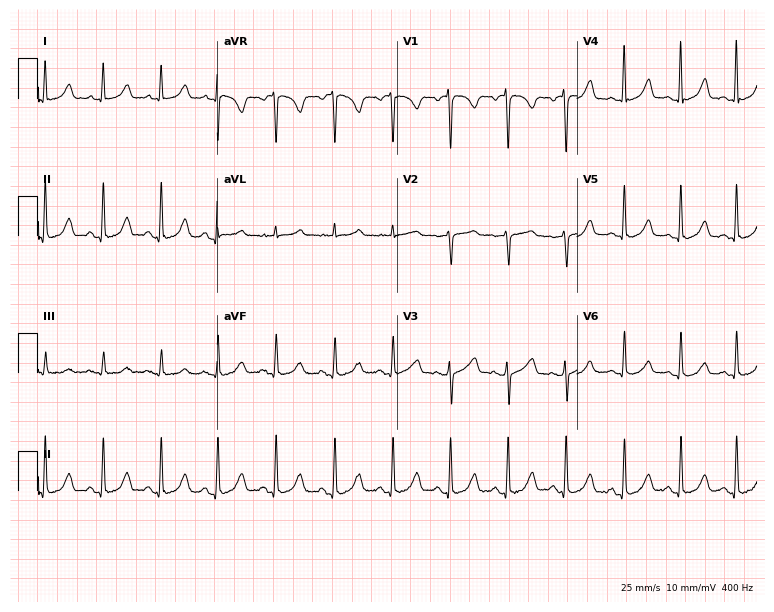
ECG (7.3-second recording at 400 Hz) — a 26-year-old female. Findings include sinus tachycardia (a sinus rate of 100 beats per minute or more).